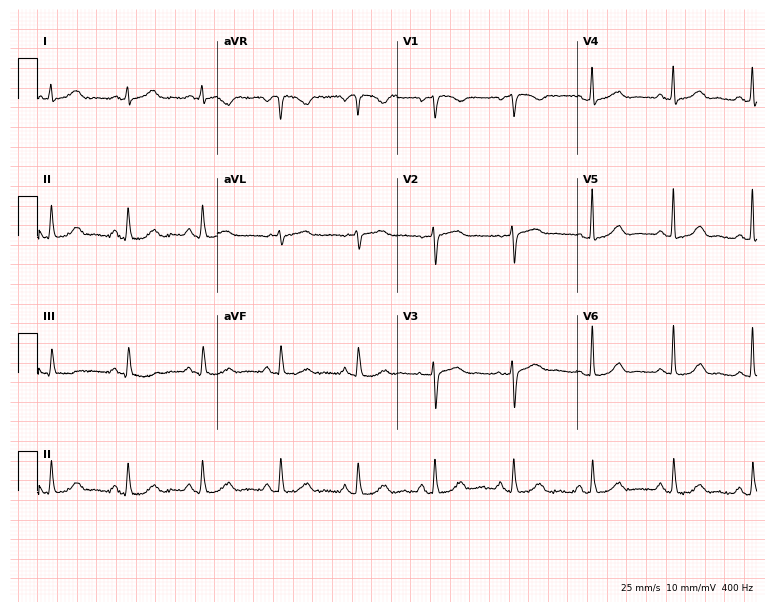
Standard 12-lead ECG recorded from a 67-year-old female. Read as a normal ECG.